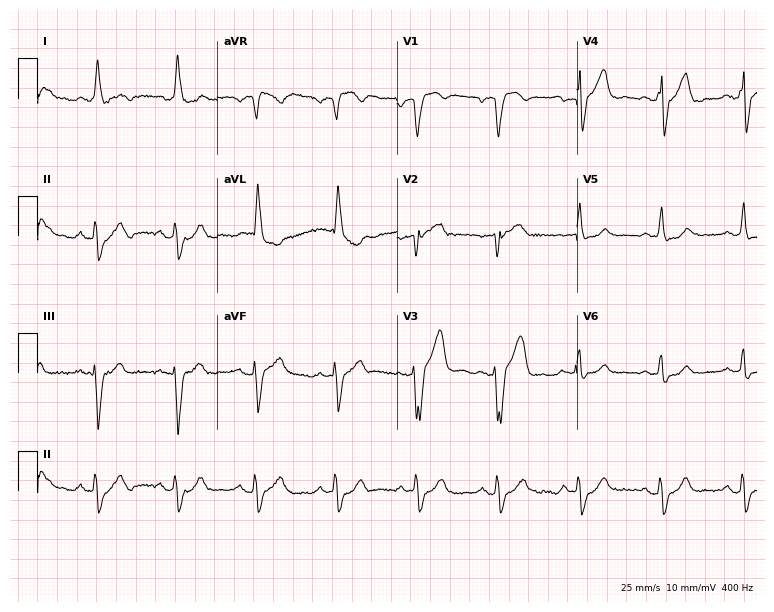
ECG (7.3-second recording at 400 Hz) — a 69-year-old male patient. Screened for six findings — first-degree AV block, right bundle branch block, left bundle branch block, sinus bradycardia, atrial fibrillation, sinus tachycardia — none is recorded. Findings outside these six are not listed.